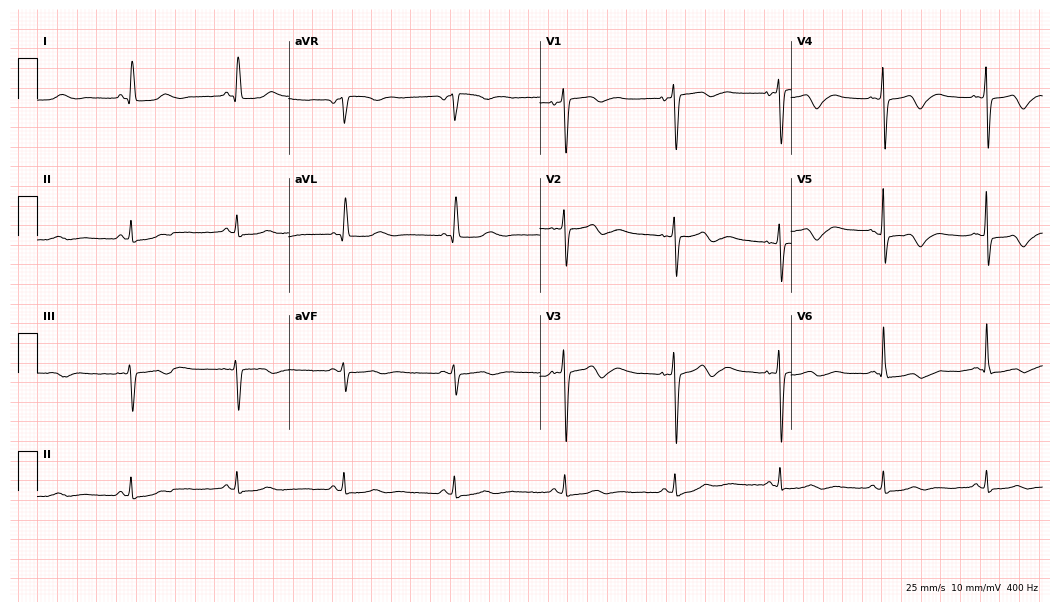
12-lead ECG from a woman, 79 years old. Screened for six findings — first-degree AV block, right bundle branch block, left bundle branch block, sinus bradycardia, atrial fibrillation, sinus tachycardia — none is recorded. Only these six findings were labelled.